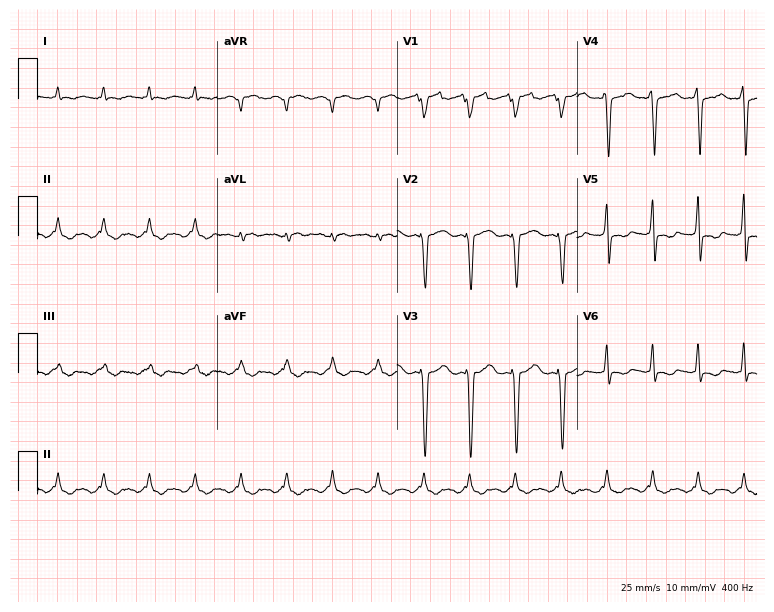
Standard 12-lead ECG recorded from a 79-year-old man (7.3-second recording at 400 Hz). None of these six findings is recorded: first-degree AV block, right bundle branch block, left bundle branch block, sinus bradycardia, atrial fibrillation, sinus tachycardia. Only these six findings were labelled.